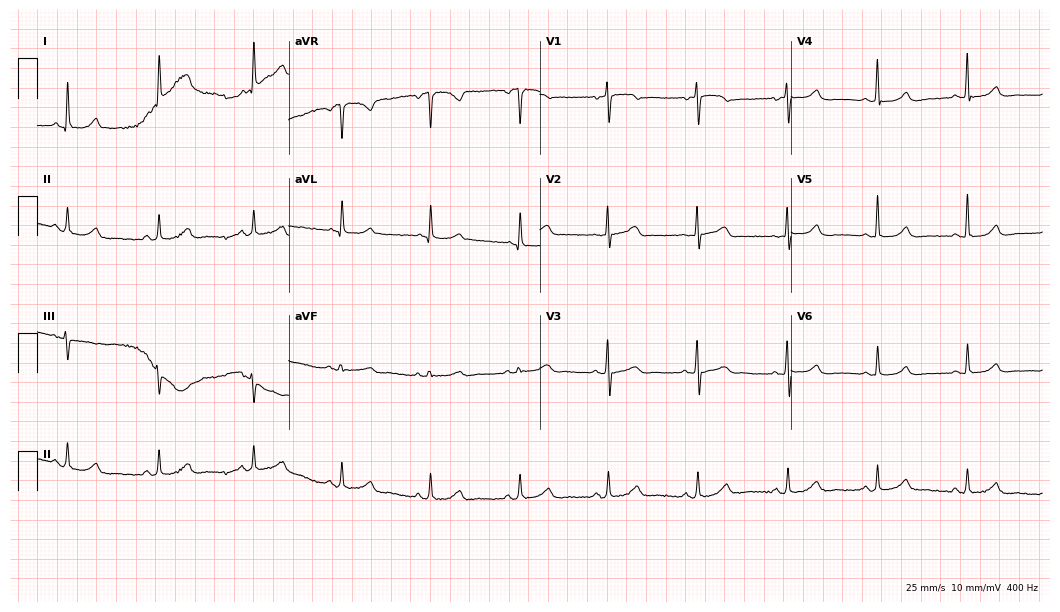
12-lead ECG (10.2-second recording at 400 Hz) from a female patient, 71 years old. Labelled as a normal ECG.